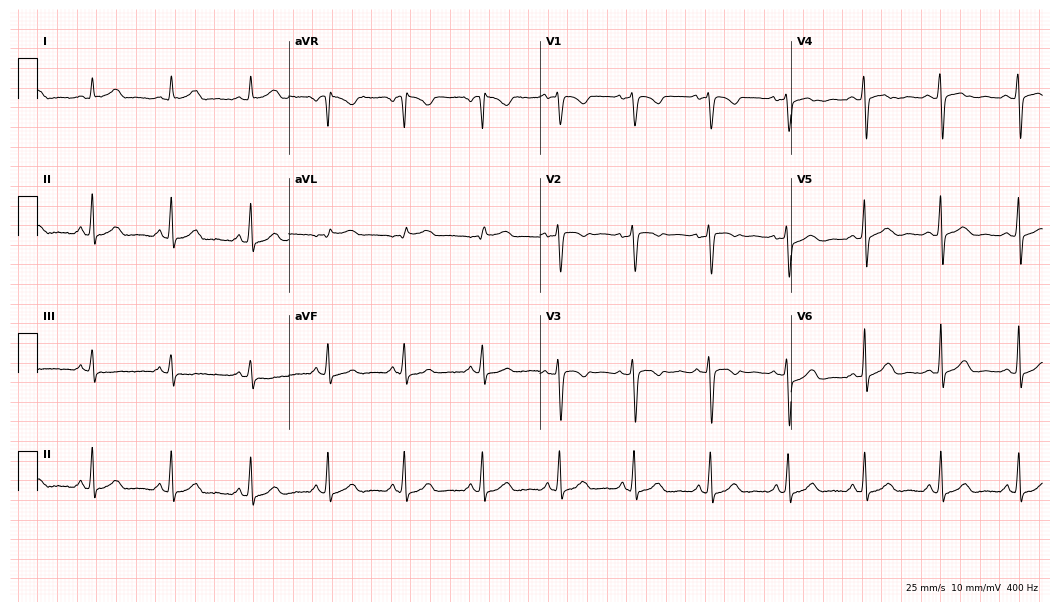
12-lead ECG from a 38-year-old female (10.2-second recording at 400 Hz). No first-degree AV block, right bundle branch block (RBBB), left bundle branch block (LBBB), sinus bradycardia, atrial fibrillation (AF) or sinus tachycardia recorded for this tracing. Other findings, if any, are not listed.